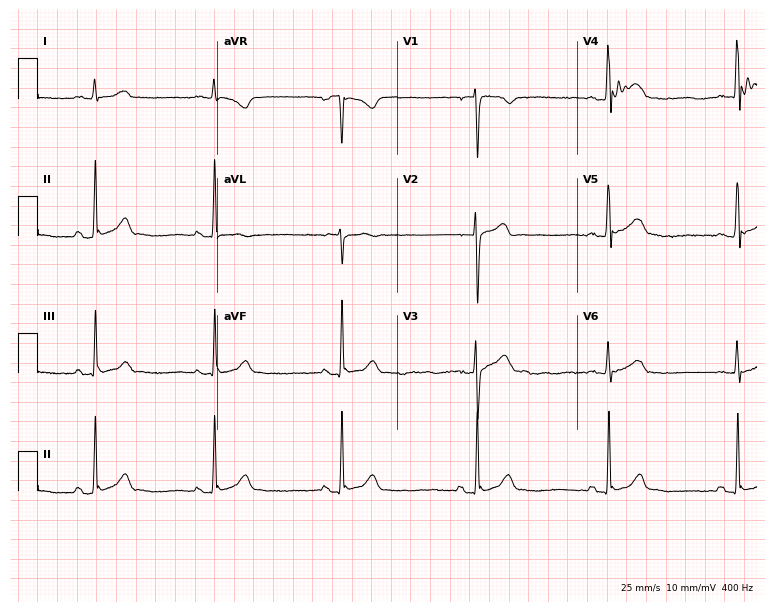
ECG — a 20-year-old male. Findings include sinus bradycardia (a sinus rate of 50 beats per minute or less).